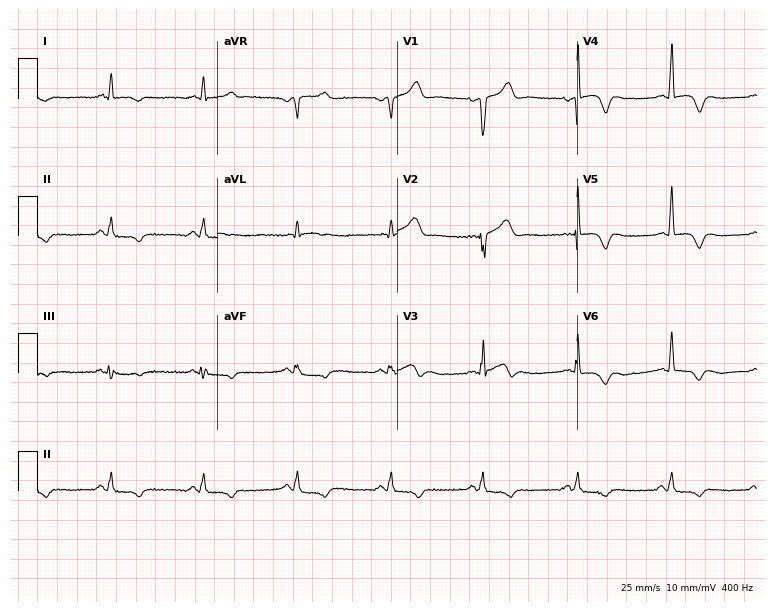
ECG — a man, 69 years old. Screened for six findings — first-degree AV block, right bundle branch block, left bundle branch block, sinus bradycardia, atrial fibrillation, sinus tachycardia — none is recorded.